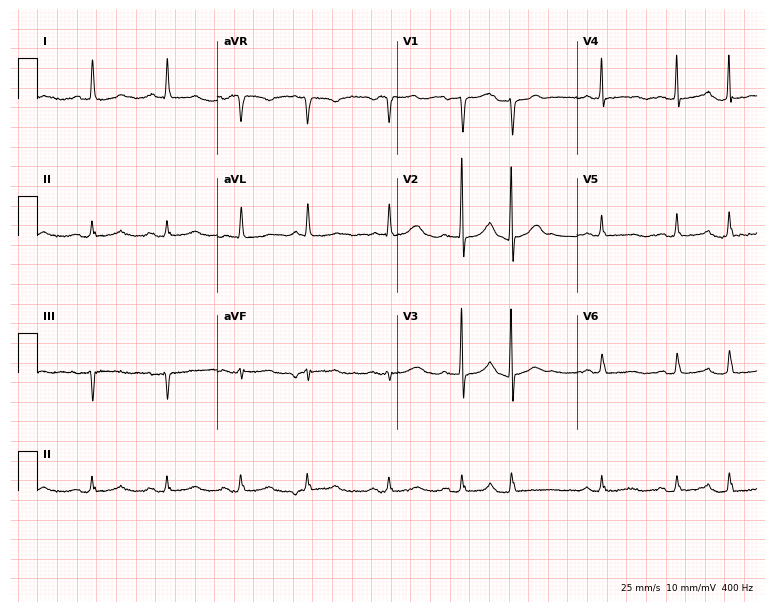
Resting 12-lead electrocardiogram. Patient: a female, 69 years old. None of these six findings is recorded: first-degree AV block, right bundle branch block, left bundle branch block, sinus bradycardia, atrial fibrillation, sinus tachycardia. Only these six findings were labelled.